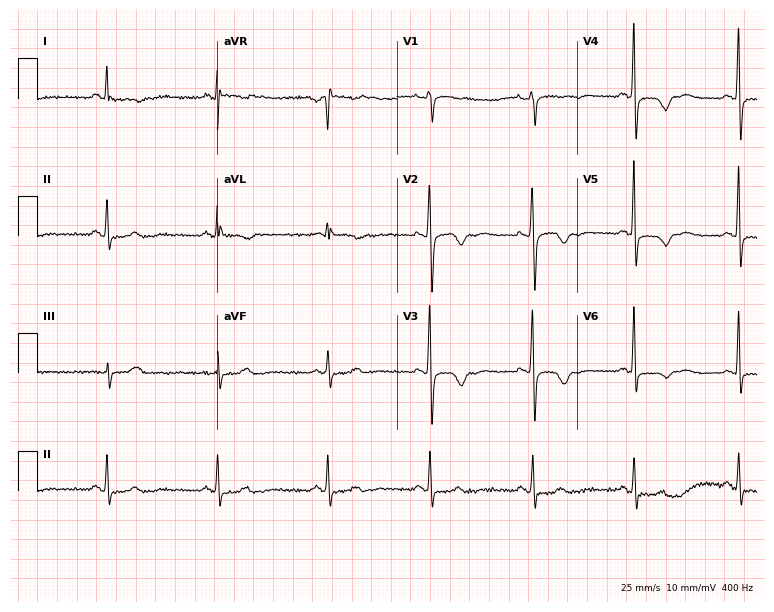
12-lead ECG from a female patient, 64 years old. No first-degree AV block, right bundle branch block, left bundle branch block, sinus bradycardia, atrial fibrillation or sinus tachycardia recorded for this tracing. Other findings, if any, are not listed.